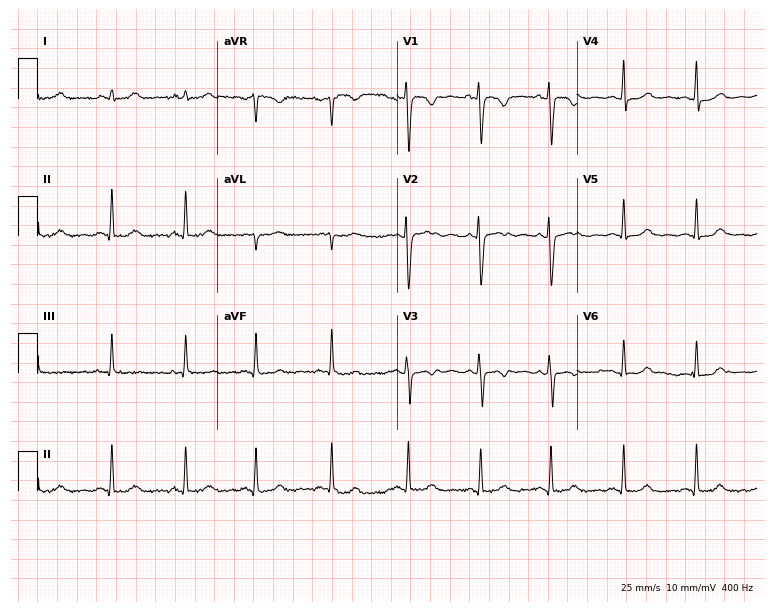
Standard 12-lead ECG recorded from a 30-year-old female. None of these six findings is recorded: first-degree AV block, right bundle branch block (RBBB), left bundle branch block (LBBB), sinus bradycardia, atrial fibrillation (AF), sinus tachycardia.